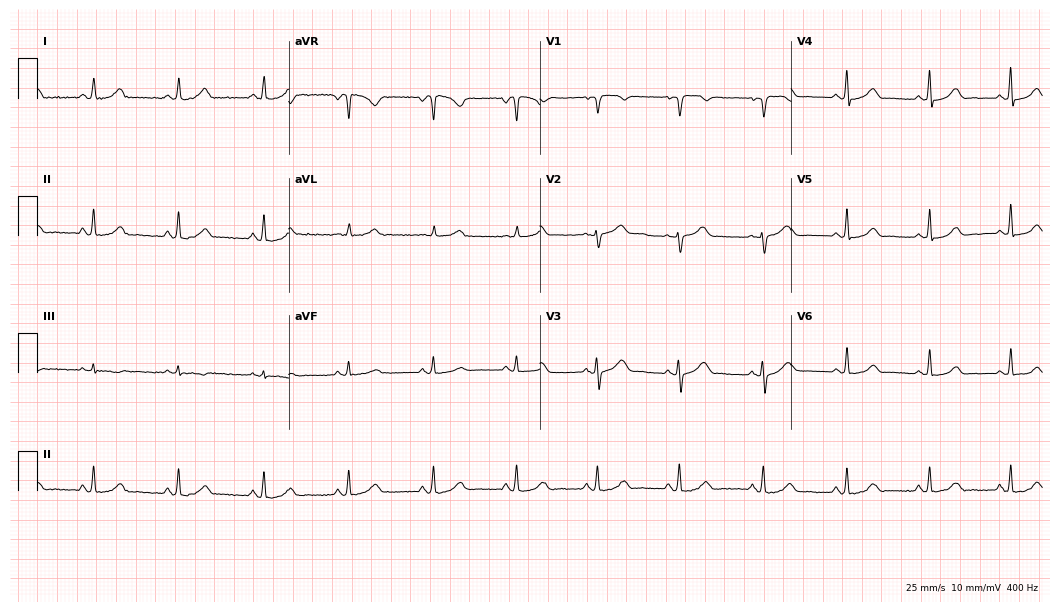
Resting 12-lead electrocardiogram (10.2-second recording at 400 Hz). Patient: a female, 47 years old. Read as a normal ECG.